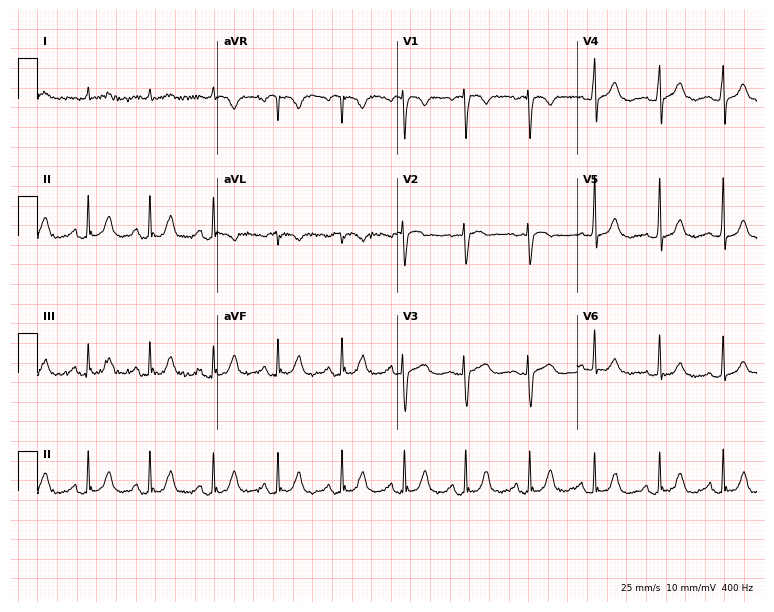
12-lead ECG from a man, 74 years old. Screened for six findings — first-degree AV block, right bundle branch block, left bundle branch block, sinus bradycardia, atrial fibrillation, sinus tachycardia — none is recorded. Findings outside these six are not listed.